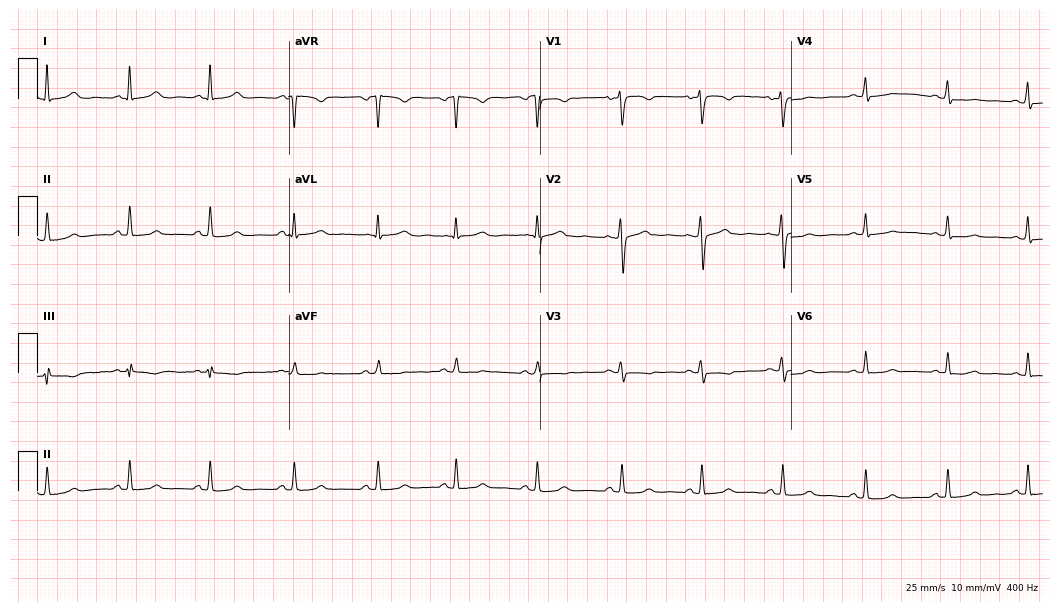
Electrocardiogram (10.2-second recording at 400 Hz), a female patient, 29 years old. Overall reading on record: normal ECG.